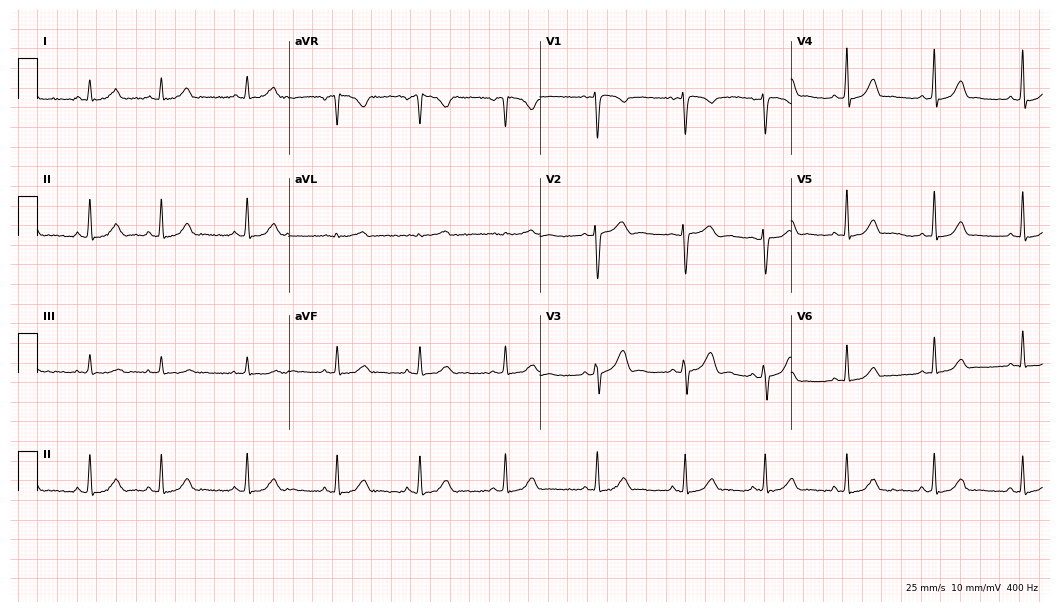
Resting 12-lead electrocardiogram (10.2-second recording at 400 Hz). Patient: a female, 26 years old. Read as a normal ECG.